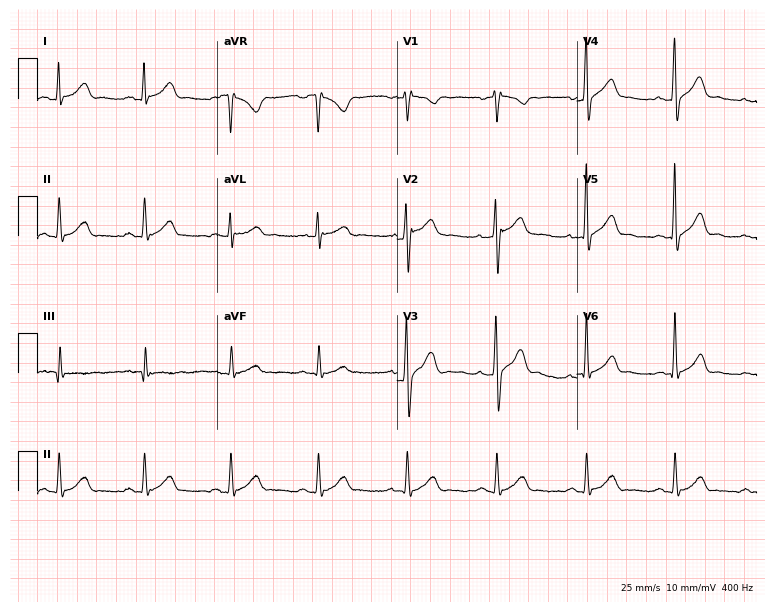
ECG (7.3-second recording at 400 Hz) — a 27-year-old male. Screened for six findings — first-degree AV block, right bundle branch block (RBBB), left bundle branch block (LBBB), sinus bradycardia, atrial fibrillation (AF), sinus tachycardia — none is recorded.